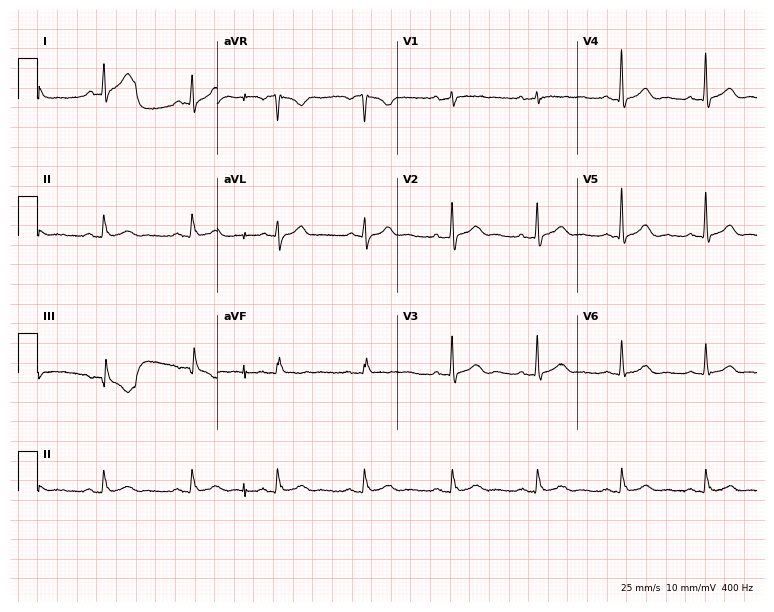
Electrocardiogram, a 43-year-old man. Overall reading on record: normal ECG.